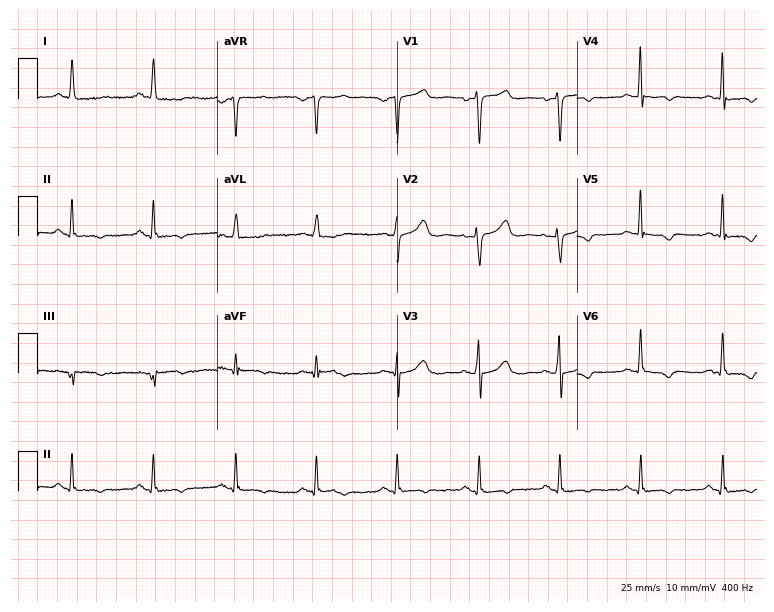
Standard 12-lead ECG recorded from a 48-year-old female (7.3-second recording at 400 Hz). None of these six findings is recorded: first-degree AV block, right bundle branch block, left bundle branch block, sinus bradycardia, atrial fibrillation, sinus tachycardia. Other findings, if any, are not listed.